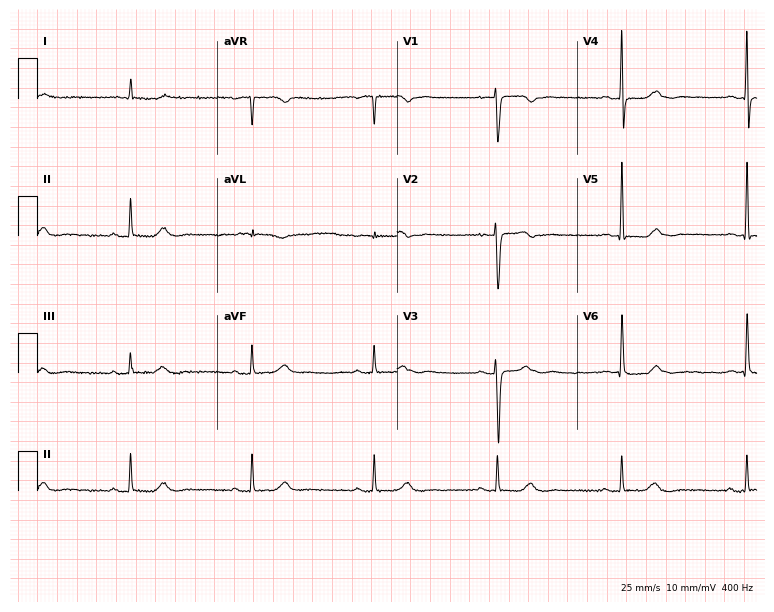
Resting 12-lead electrocardiogram (7.3-second recording at 400 Hz). Patient: an 86-year-old female. The tracing shows sinus bradycardia (a sinus rate of 50 beats per minute or less).